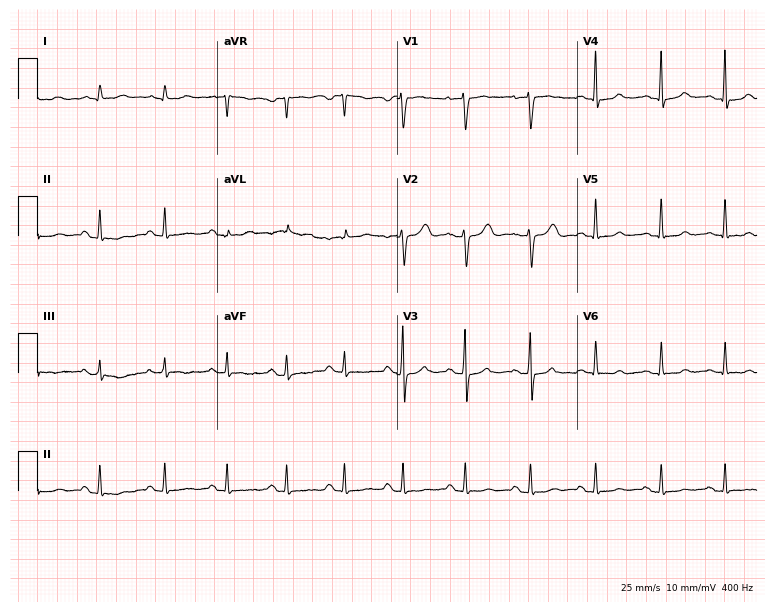
12-lead ECG from a 32-year-old female patient (7.3-second recording at 400 Hz). No first-degree AV block, right bundle branch block, left bundle branch block, sinus bradycardia, atrial fibrillation or sinus tachycardia recorded for this tracing.